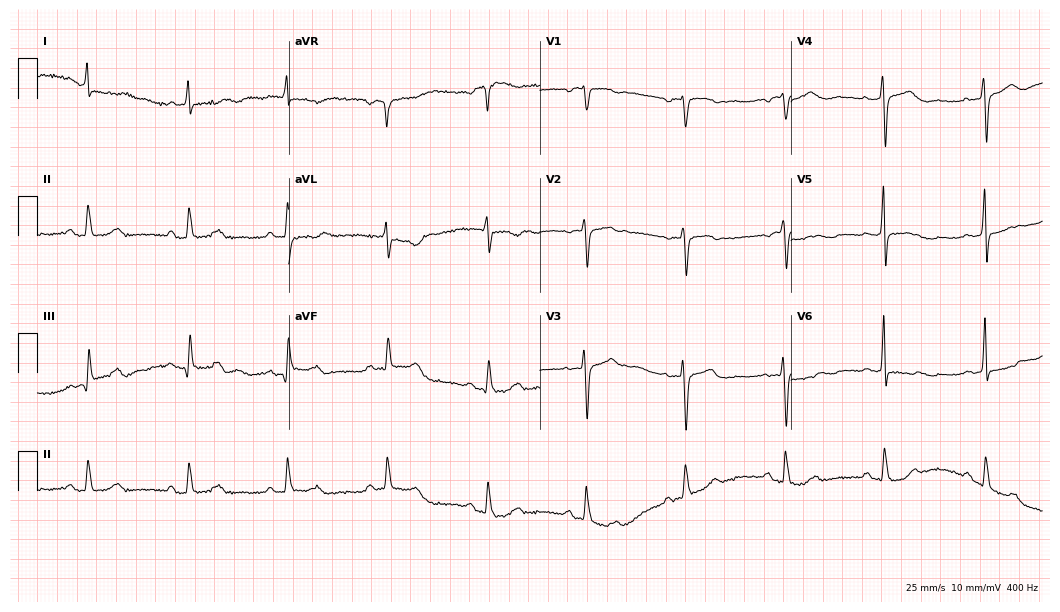
Standard 12-lead ECG recorded from a 72-year-old female patient. None of these six findings is recorded: first-degree AV block, right bundle branch block (RBBB), left bundle branch block (LBBB), sinus bradycardia, atrial fibrillation (AF), sinus tachycardia.